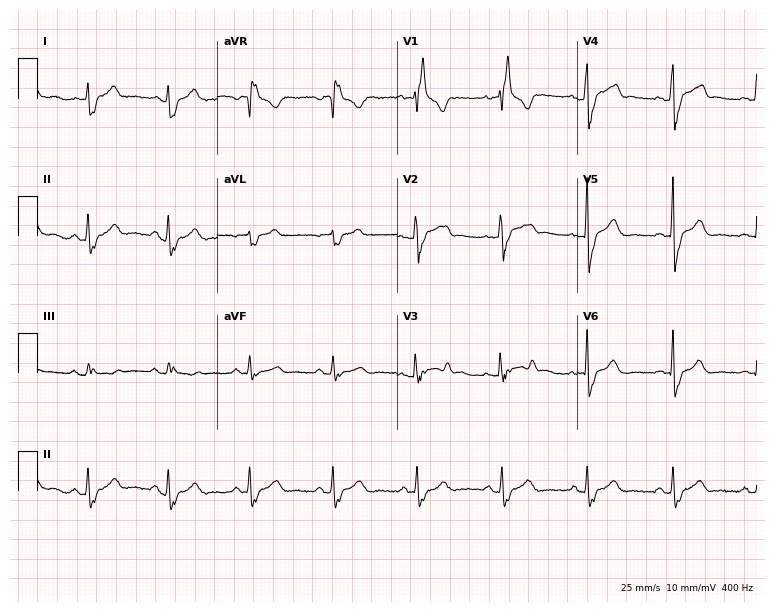
12-lead ECG (7.3-second recording at 400 Hz) from a male patient, 42 years old. Findings include right bundle branch block.